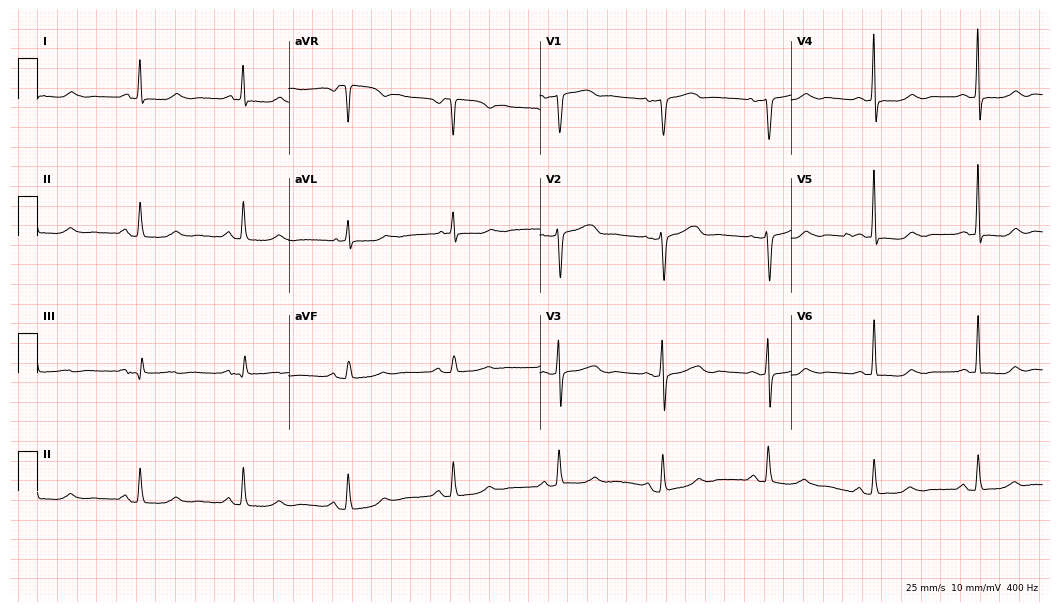
Standard 12-lead ECG recorded from a woman, 69 years old (10.2-second recording at 400 Hz). None of these six findings is recorded: first-degree AV block, right bundle branch block, left bundle branch block, sinus bradycardia, atrial fibrillation, sinus tachycardia. Other findings, if any, are not listed.